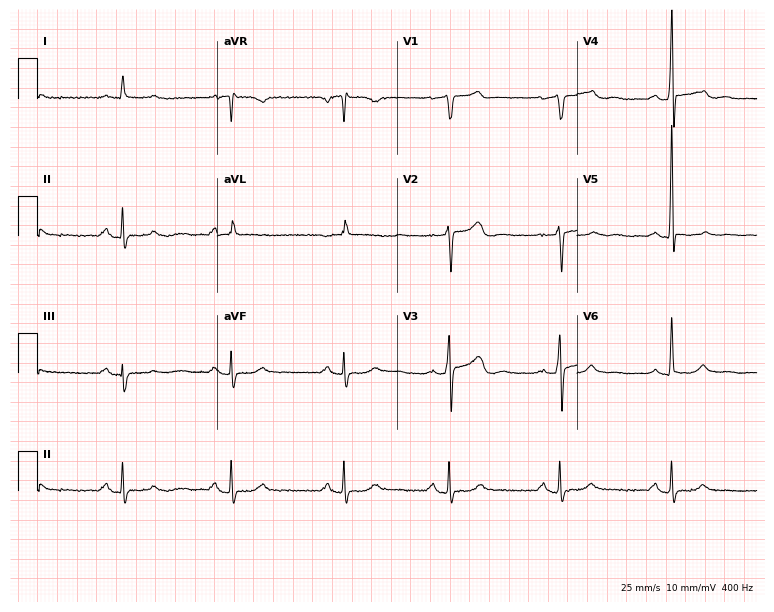
12-lead ECG from a 65-year-old male. Screened for six findings — first-degree AV block, right bundle branch block, left bundle branch block, sinus bradycardia, atrial fibrillation, sinus tachycardia — none is recorded. Findings outside these six are not listed.